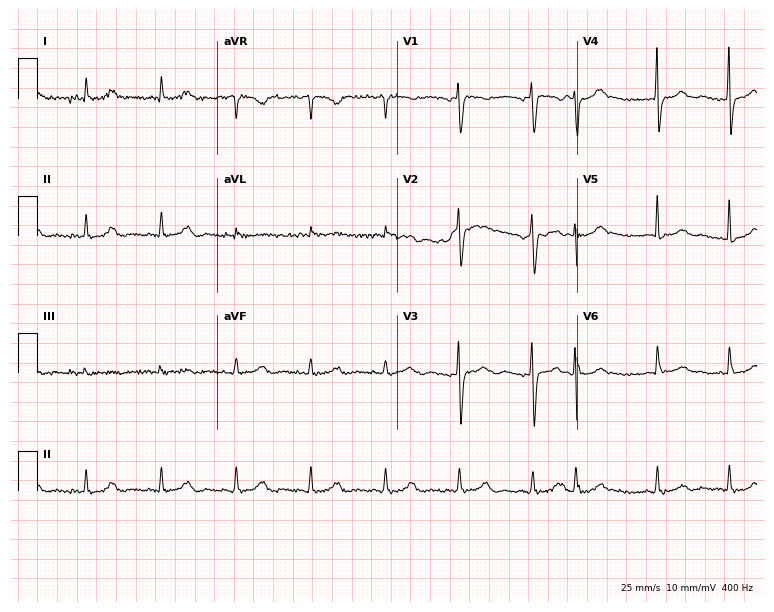
ECG (7.3-second recording at 400 Hz) — a woman, 81 years old. Labelled as a normal ECG.